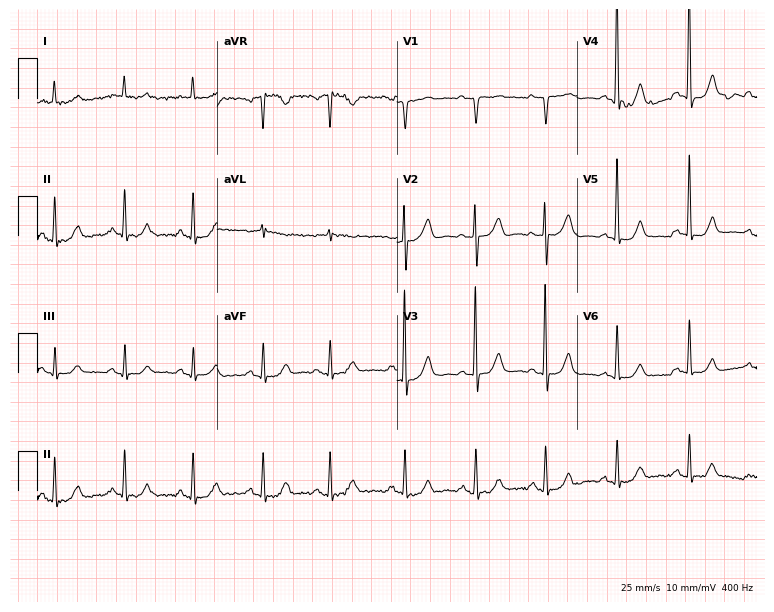
12-lead ECG from an 81-year-old female patient. No first-degree AV block, right bundle branch block (RBBB), left bundle branch block (LBBB), sinus bradycardia, atrial fibrillation (AF) or sinus tachycardia recorded for this tracing. Only these six findings were labelled.